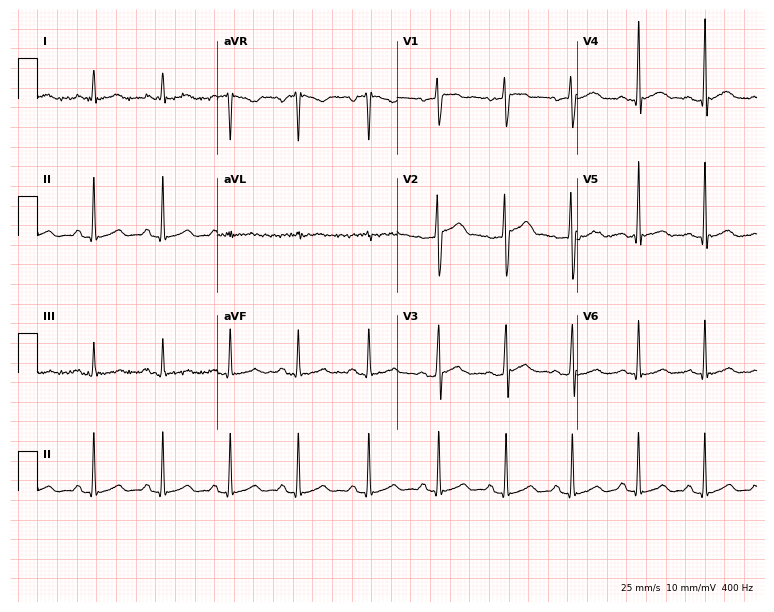
Electrocardiogram (7.3-second recording at 400 Hz), a 50-year-old male. Of the six screened findings (first-degree AV block, right bundle branch block (RBBB), left bundle branch block (LBBB), sinus bradycardia, atrial fibrillation (AF), sinus tachycardia), none is recorded.